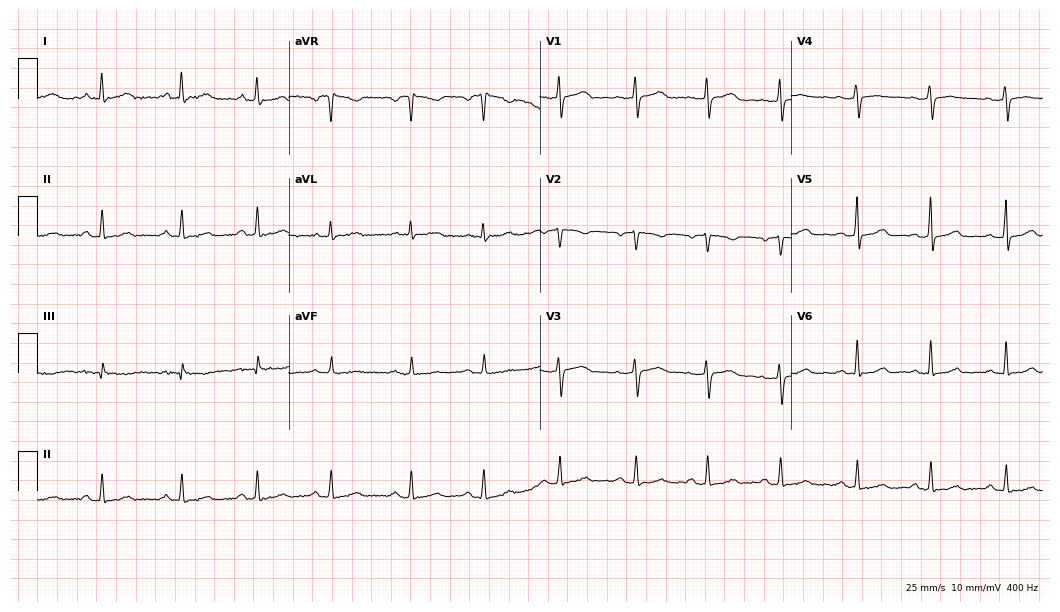
Standard 12-lead ECG recorded from a woman, 50 years old (10.2-second recording at 400 Hz). None of these six findings is recorded: first-degree AV block, right bundle branch block, left bundle branch block, sinus bradycardia, atrial fibrillation, sinus tachycardia. Only these six findings were labelled.